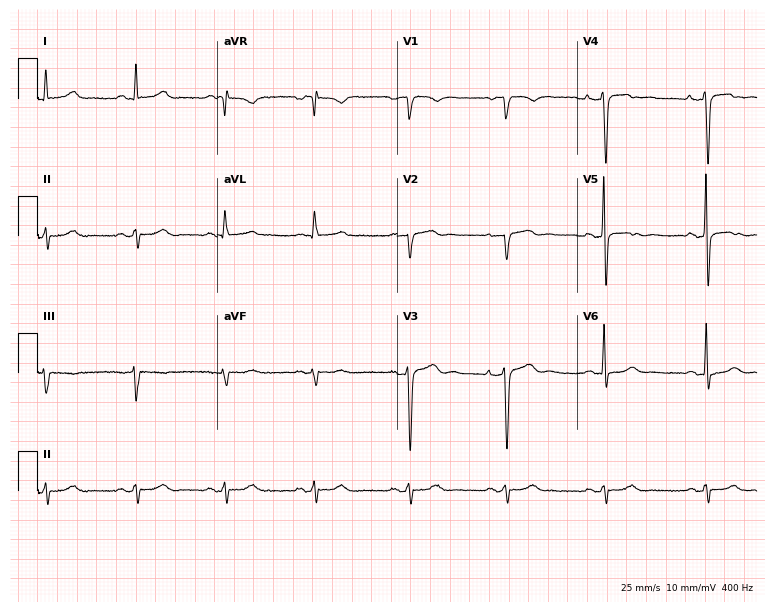
Standard 12-lead ECG recorded from a male patient, 62 years old. None of these six findings is recorded: first-degree AV block, right bundle branch block, left bundle branch block, sinus bradycardia, atrial fibrillation, sinus tachycardia.